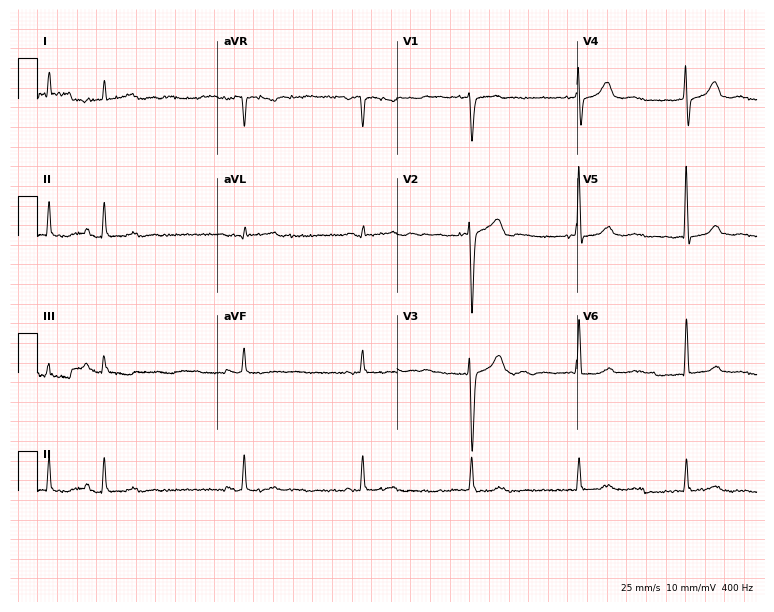
Resting 12-lead electrocardiogram (7.3-second recording at 400 Hz). Patient: a 76-year-old man. None of these six findings is recorded: first-degree AV block, right bundle branch block, left bundle branch block, sinus bradycardia, atrial fibrillation, sinus tachycardia.